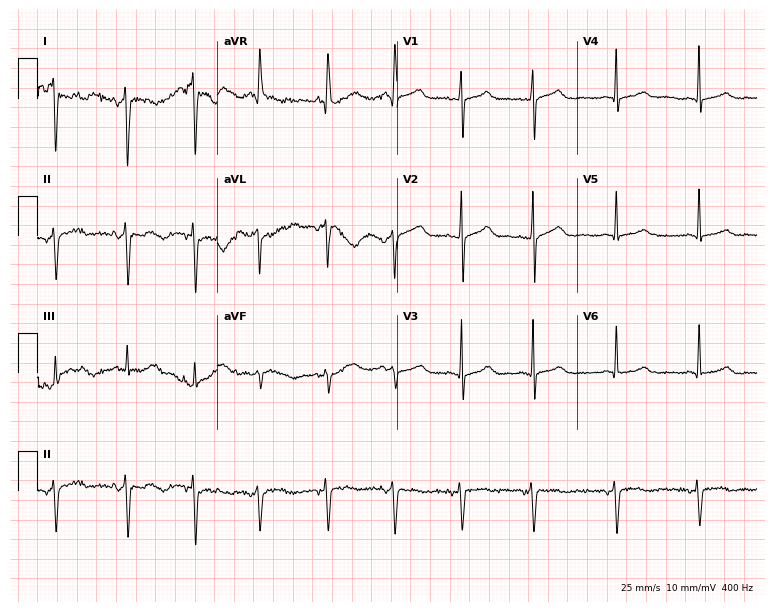
Resting 12-lead electrocardiogram (7.3-second recording at 400 Hz). Patient: a woman, 38 years old. None of these six findings is recorded: first-degree AV block, right bundle branch block (RBBB), left bundle branch block (LBBB), sinus bradycardia, atrial fibrillation (AF), sinus tachycardia.